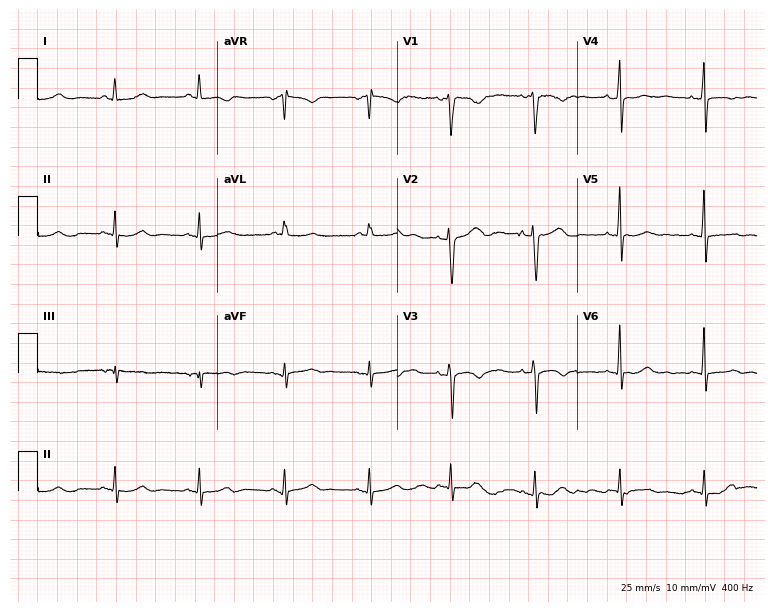
Electrocardiogram (7.3-second recording at 400 Hz), a woman, 36 years old. Of the six screened findings (first-degree AV block, right bundle branch block, left bundle branch block, sinus bradycardia, atrial fibrillation, sinus tachycardia), none is recorded. Other findings, if any, are not listed.